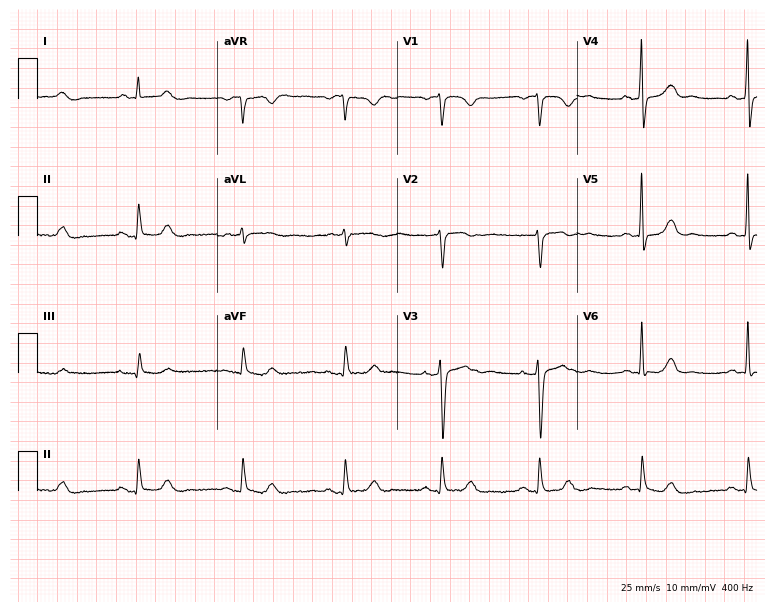
Electrocardiogram, a woman, 45 years old. Overall reading on record: normal ECG.